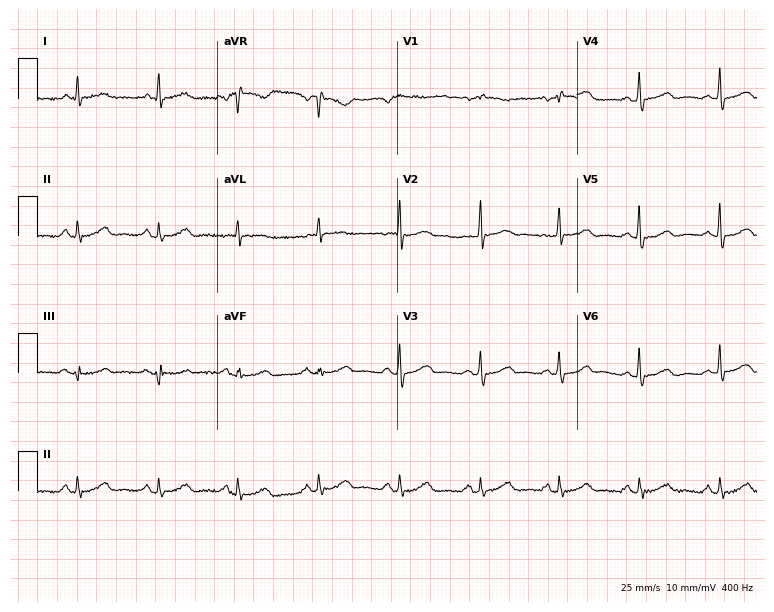
Standard 12-lead ECG recorded from a female, 62 years old. Read as a normal ECG.